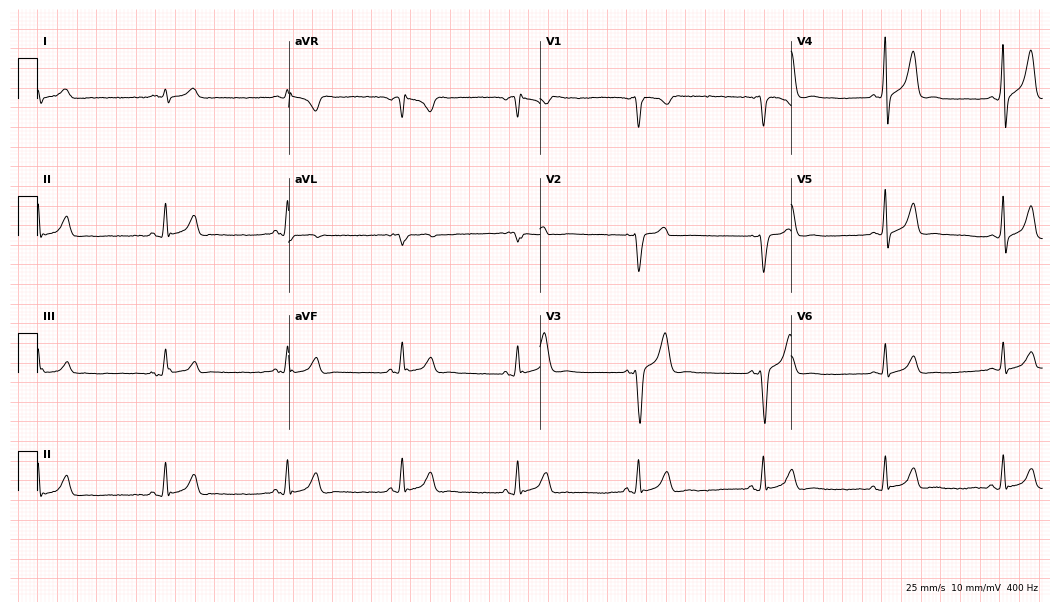
Electrocardiogram, a 51-year-old male patient. Overall reading on record: normal ECG.